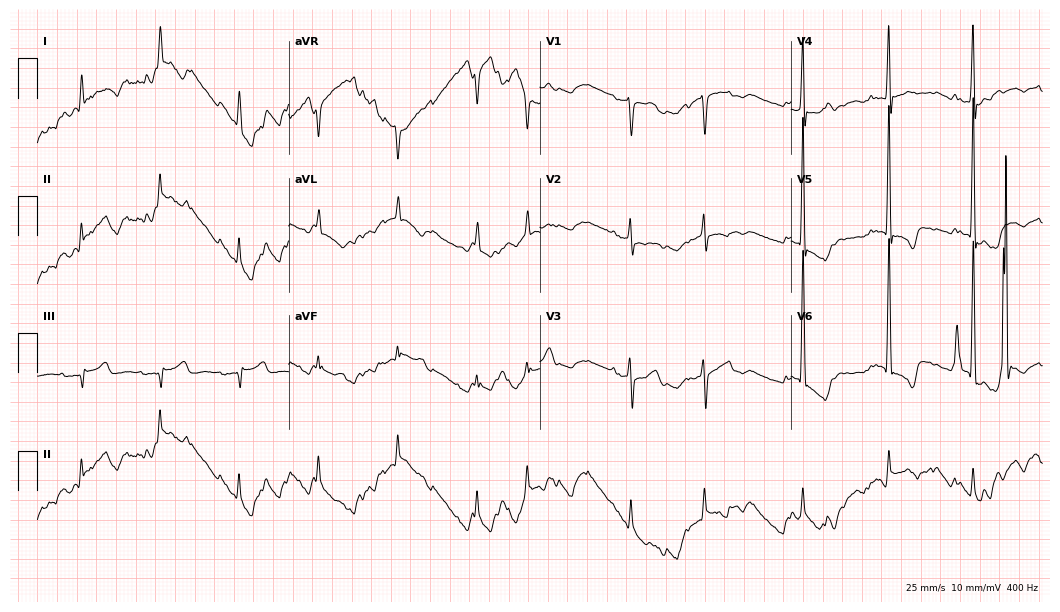
Electrocardiogram (10.2-second recording at 400 Hz), a male, 85 years old. Of the six screened findings (first-degree AV block, right bundle branch block, left bundle branch block, sinus bradycardia, atrial fibrillation, sinus tachycardia), none is recorded.